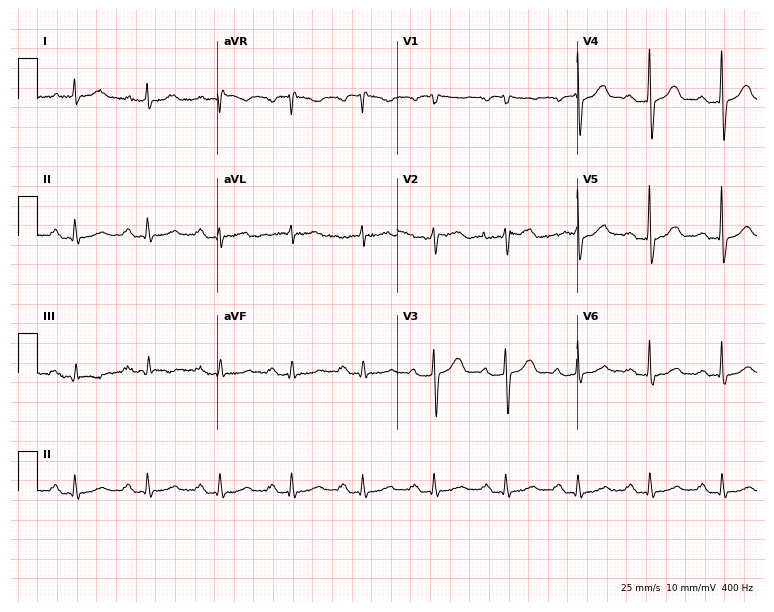
Resting 12-lead electrocardiogram. Patient: a man, 83 years old. None of these six findings is recorded: first-degree AV block, right bundle branch block (RBBB), left bundle branch block (LBBB), sinus bradycardia, atrial fibrillation (AF), sinus tachycardia. Findings outside these six are not listed.